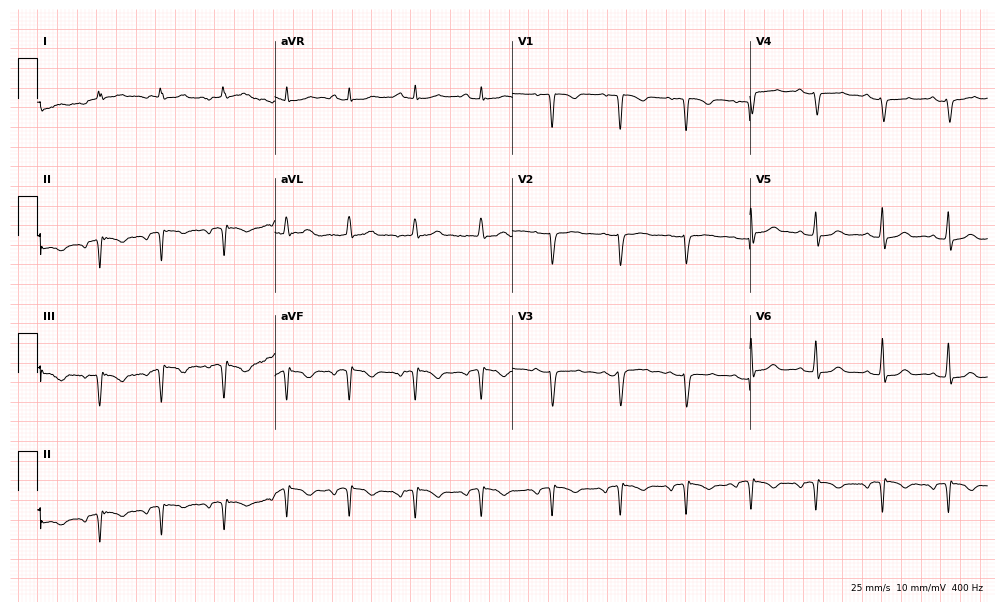
Resting 12-lead electrocardiogram. Patient: a female, 47 years old. None of these six findings is recorded: first-degree AV block, right bundle branch block, left bundle branch block, sinus bradycardia, atrial fibrillation, sinus tachycardia.